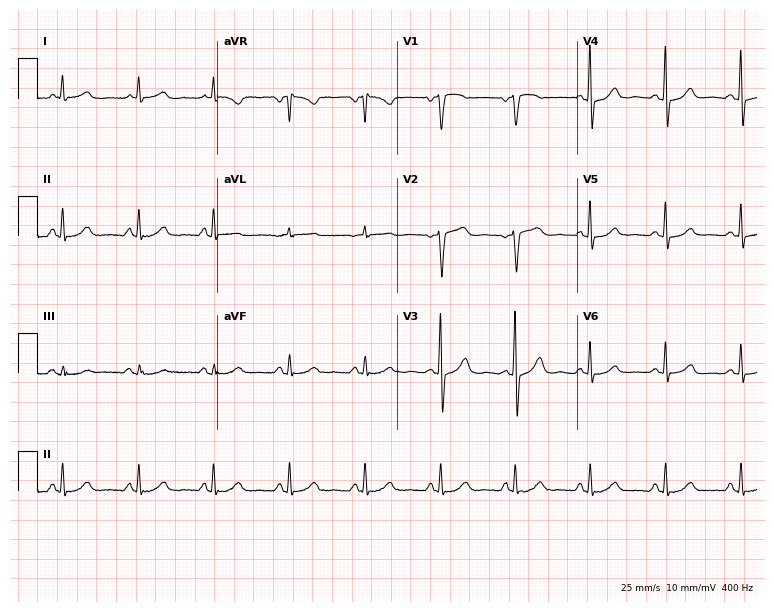
ECG (7.3-second recording at 400 Hz) — a 54-year-old female. Labelled as a normal ECG.